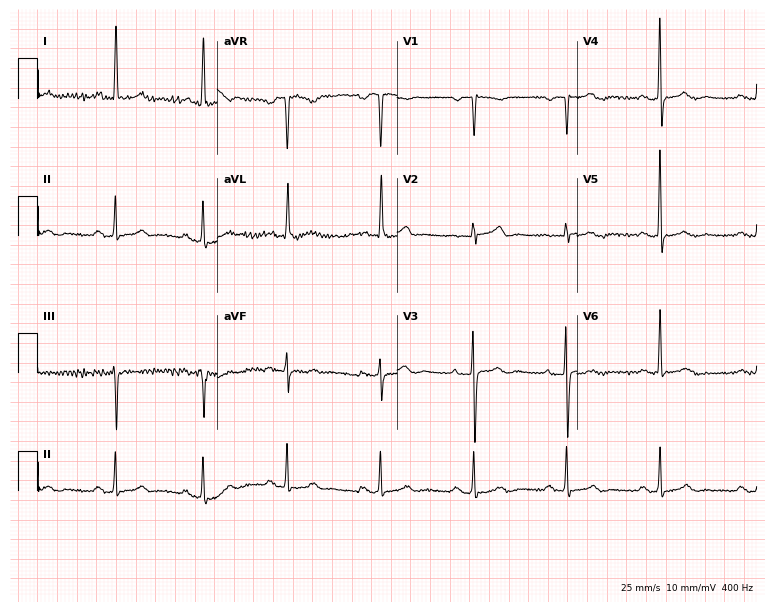
12-lead ECG (7.3-second recording at 400 Hz) from a 70-year-old woman. Screened for six findings — first-degree AV block, right bundle branch block, left bundle branch block, sinus bradycardia, atrial fibrillation, sinus tachycardia — none is recorded.